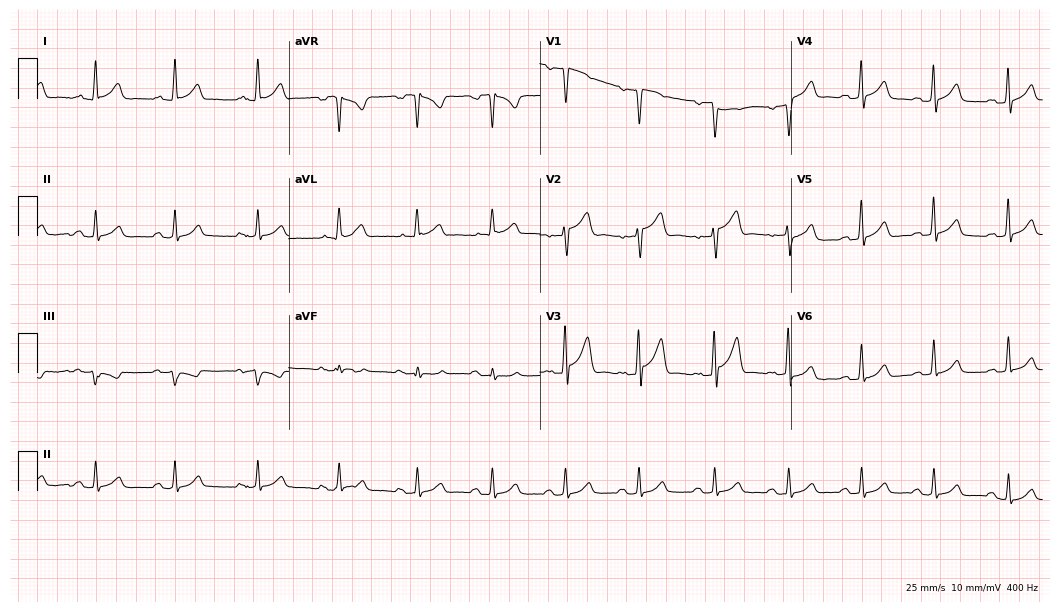
ECG (10.2-second recording at 400 Hz) — a male patient, 55 years old. Screened for six findings — first-degree AV block, right bundle branch block, left bundle branch block, sinus bradycardia, atrial fibrillation, sinus tachycardia — none is recorded.